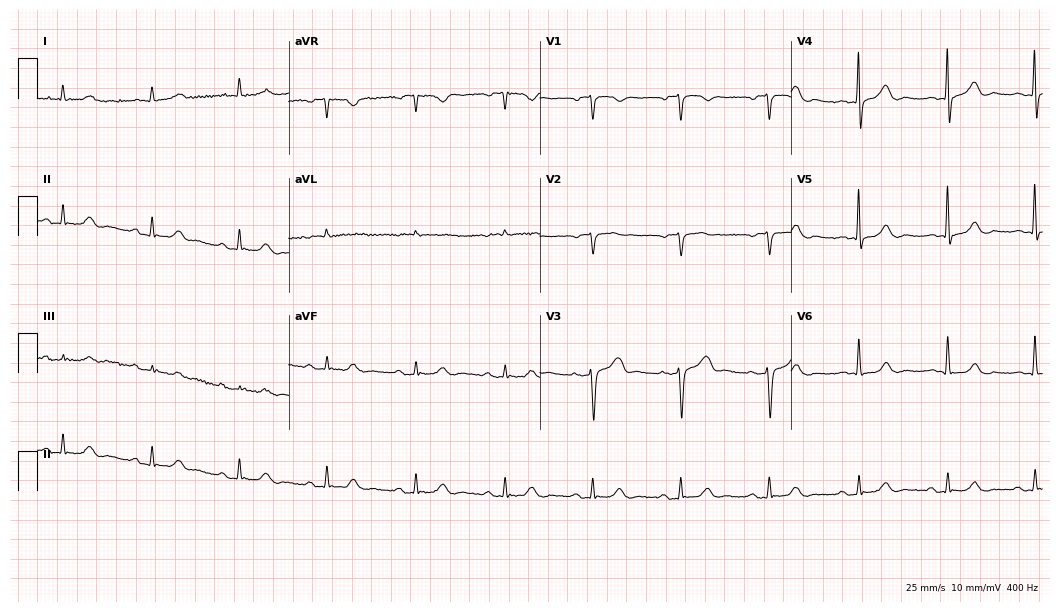
12-lead ECG from a woman, 79 years old. No first-degree AV block, right bundle branch block (RBBB), left bundle branch block (LBBB), sinus bradycardia, atrial fibrillation (AF) or sinus tachycardia recorded for this tracing. Findings outside these six are not listed.